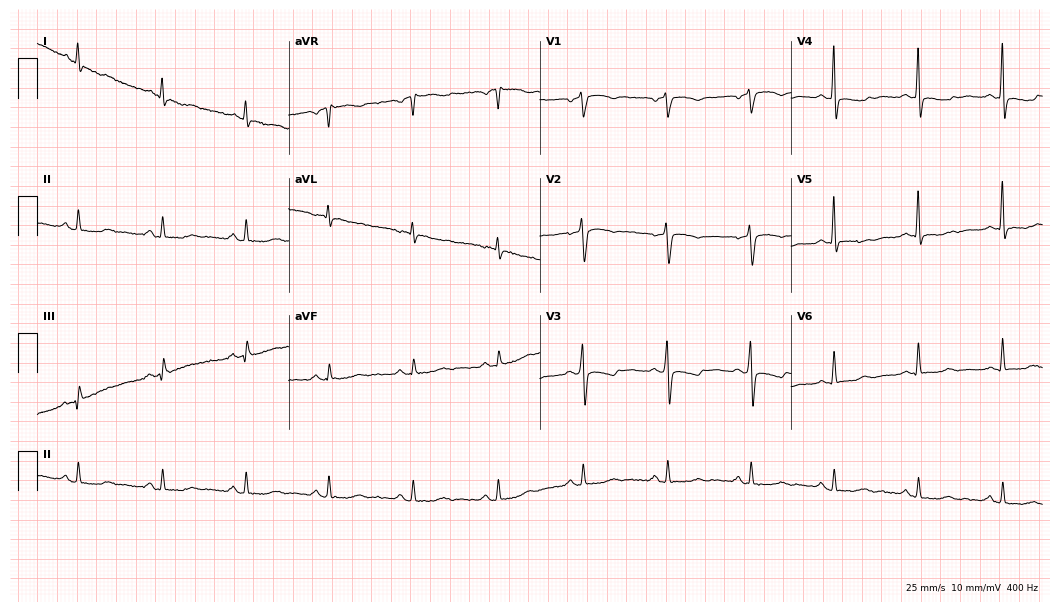
Standard 12-lead ECG recorded from a 62-year-old female patient. None of these six findings is recorded: first-degree AV block, right bundle branch block (RBBB), left bundle branch block (LBBB), sinus bradycardia, atrial fibrillation (AF), sinus tachycardia.